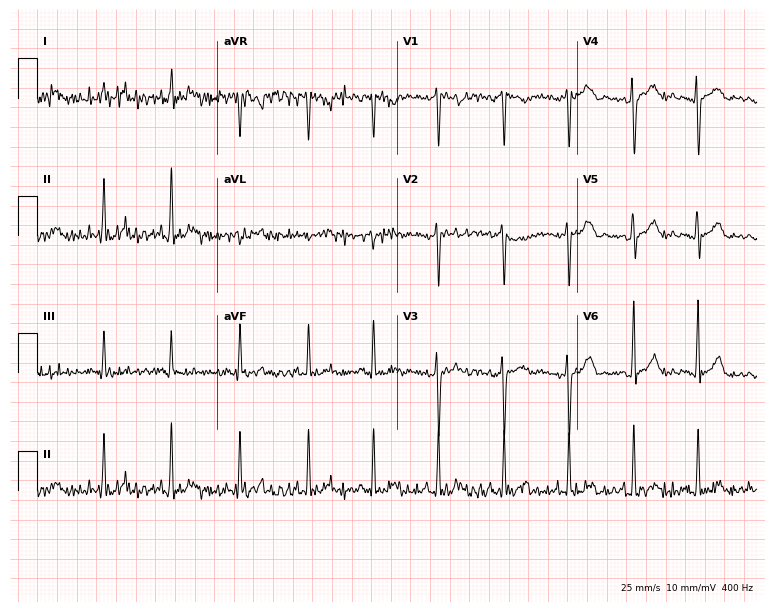
12-lead ECG (7.3-second recording at 400 Hz) from a 29-year-old female patient. Screened for six findings — first-degree AV block, right bundle branch block (RBBB), left bundle branch block (LBBB), sinus bradycardia, atrial fibrillation (AF), sinus tachycardia — none is recorded.